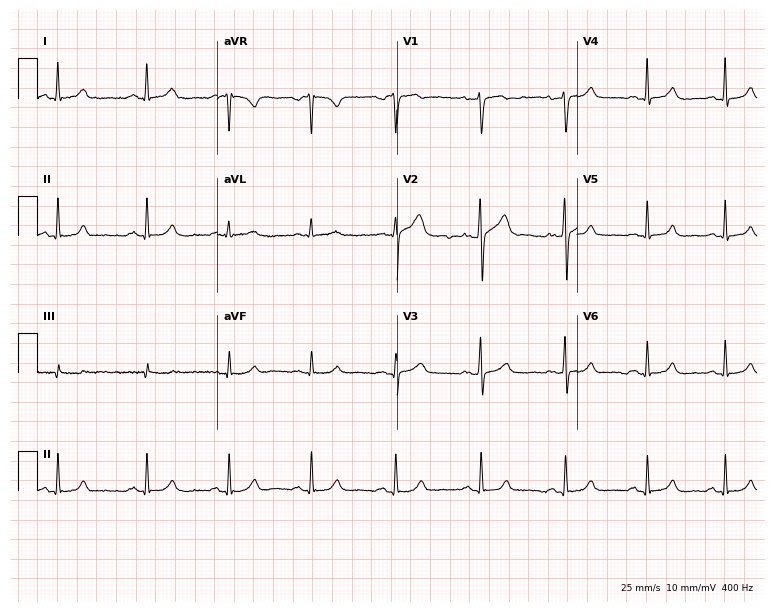
12-lead ECG from a female patient, 34 years old. Recorded interpretation: within normal limits.